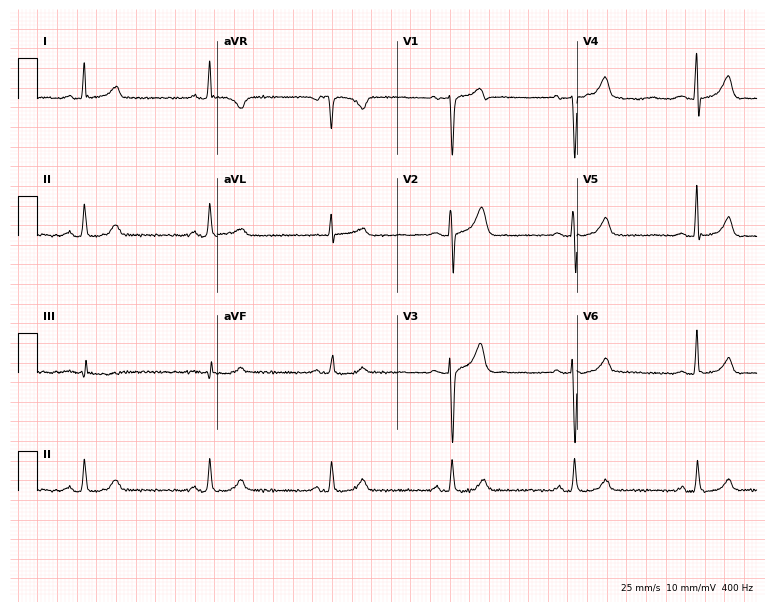
Resting 12-lead electrocardiogram. Patient: a 39-year-old male. The tracing shows sinus bradycardia (a sinus rate of 50 beats per minute or less).